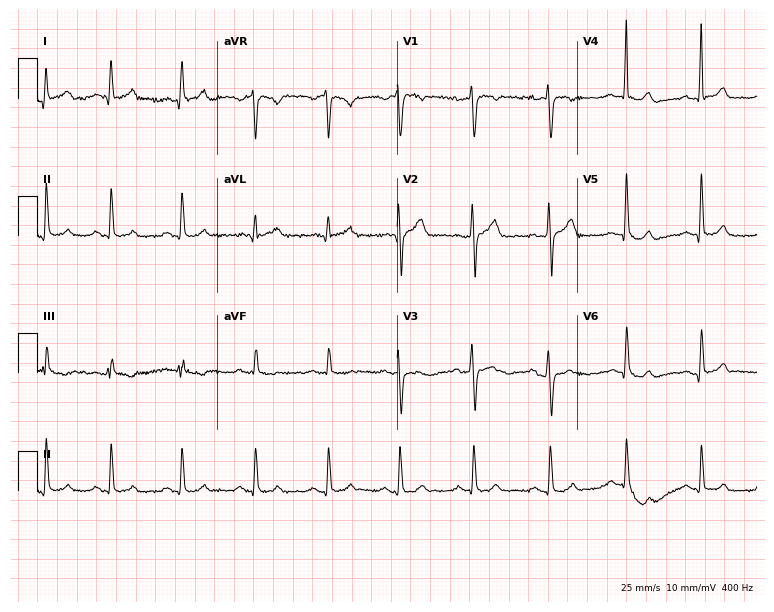
Standard 12-lead ECG recorded from a male, 30 years old (7.3-second recording at 400 Hz). Read as a normal ECG.